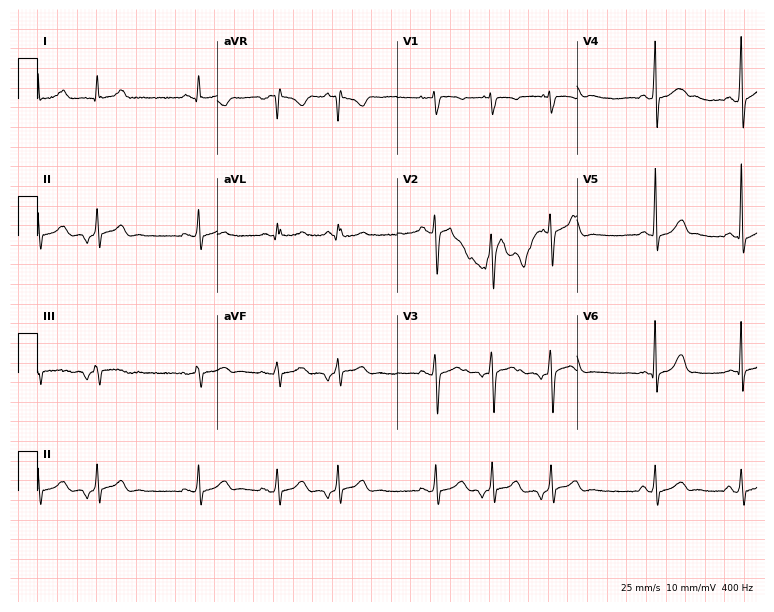
Electrocardiogram, a female, 18 years old. Of the six screened findings (first-degree AV block, right bundle branch block, left bundle branch block, sinus bradycardia, atrial fibrillation, sinus tachycardia), none is recorded. Other findings, if any, are not listed.